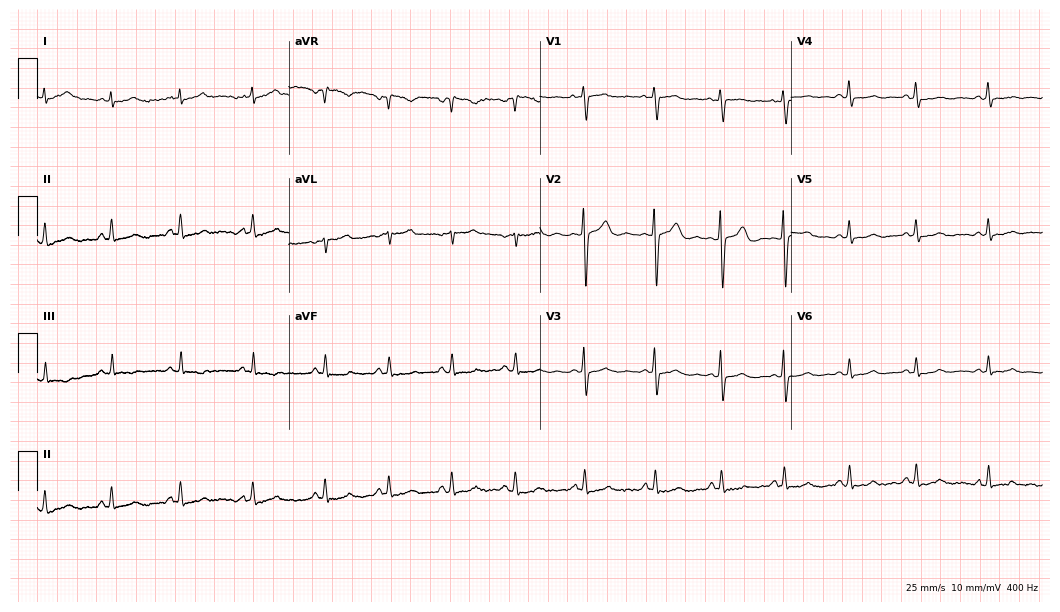
12-lead ECG from a female patient, 19 years old (10.2-second recording at 400 Hz). Recorded interpretation: within normal limits.